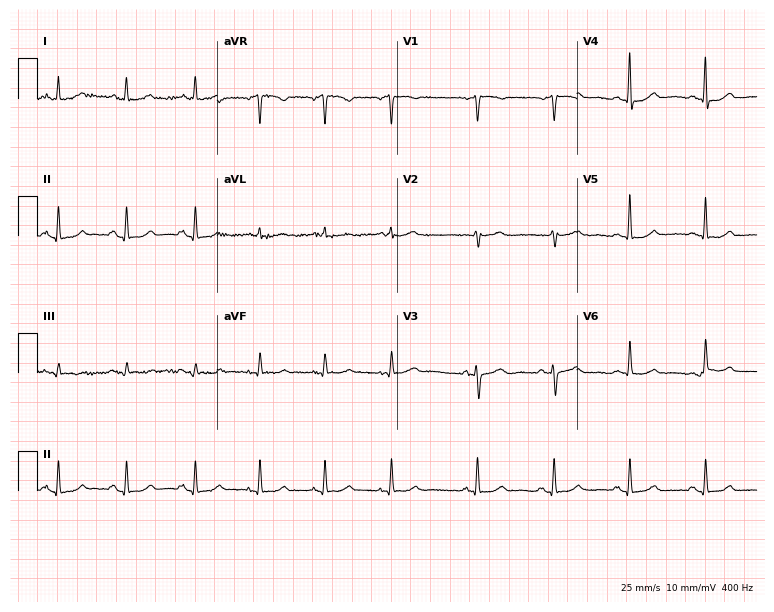
Standard 12-lead ECG recorded from a female, 77 years old. Read as a normal ECG.